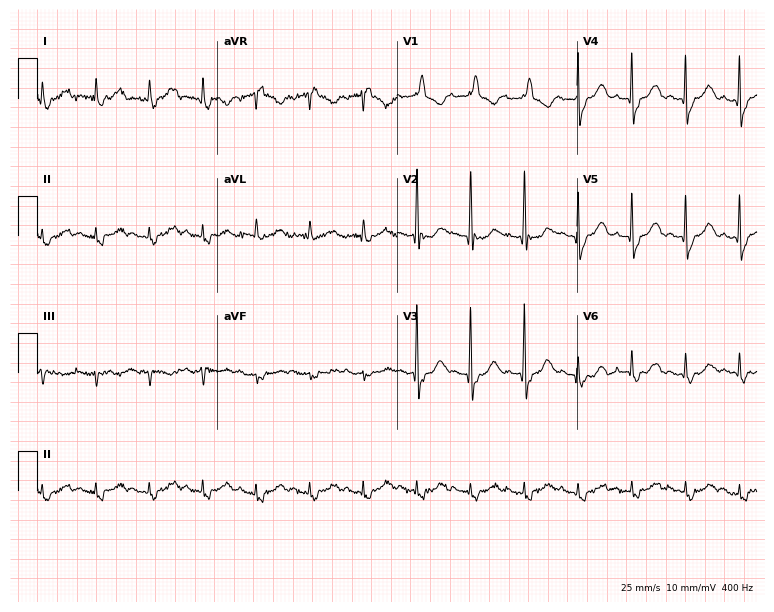
12-lead ECG (7.3-second recording at 400 Hz) from a 78-year-old woman. Findings include right bundle branch block, sinus tachycardia (a sinus rate of 100 beats per minute or more).